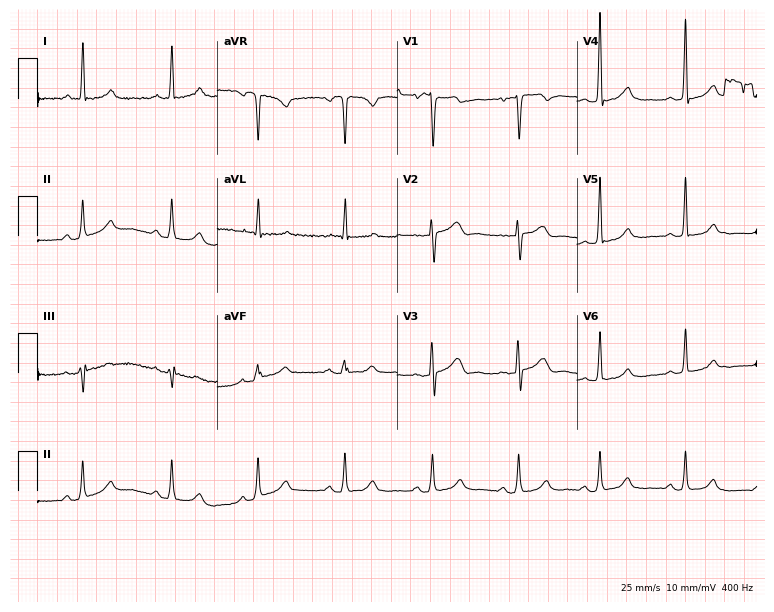
Standard 12-lead ECG recorded from a female patient, 71 years old (7.3-second recording at 400 Hz). None of these six findings is recorded: first-degree AV block, right bundle branch block, left bundle branch block, sinus bradycardia, atrial fibrillation, sinus tachycardia.